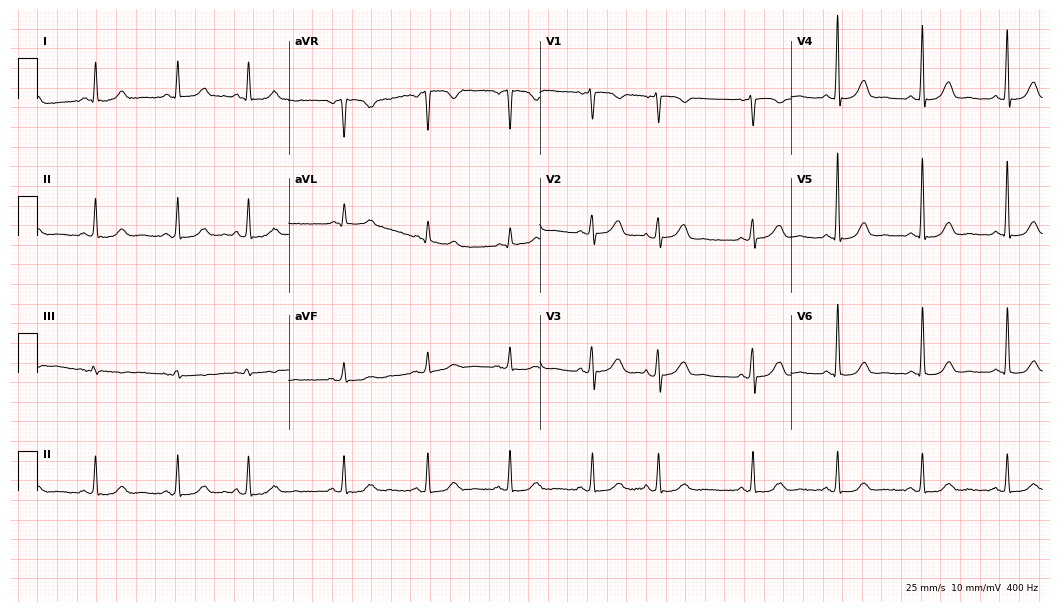
12-lead ECG from a 64-year-old female (10.2-second recording at 400 Hz). No first-degree AV block, right bundle branch block (RBBB), left bundle branch block (LBBB), sinus bradycardia, atrial fibrillation (AF) or sinus tachycardia recorded for this tracing.